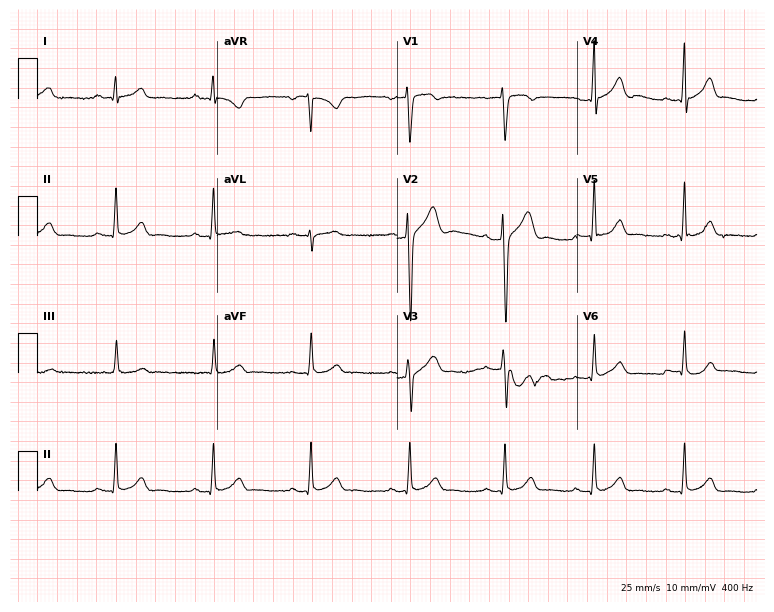
Electrocardiogram (7.3-second recording at 400 Hz), a 26-year-old male. Overall reading on record: normal ECG.